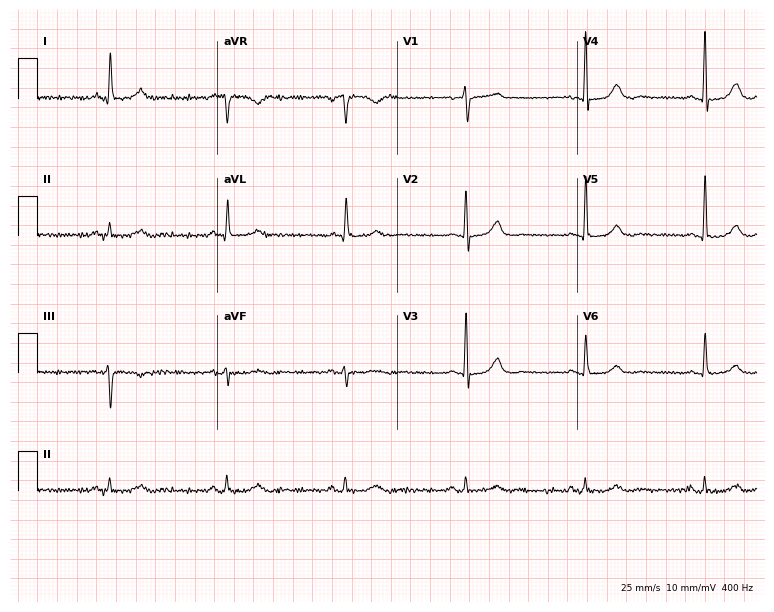
Resting 12-lead electrocardiogram. Patient: a 73-year-old woman. None of these six findings is recorded: first-degree AV block, right bundle branch block, left bundle branch block, sinus bradycardia, atrial fibrillation, sinus tachycardia. Findings outside these six are not listed.